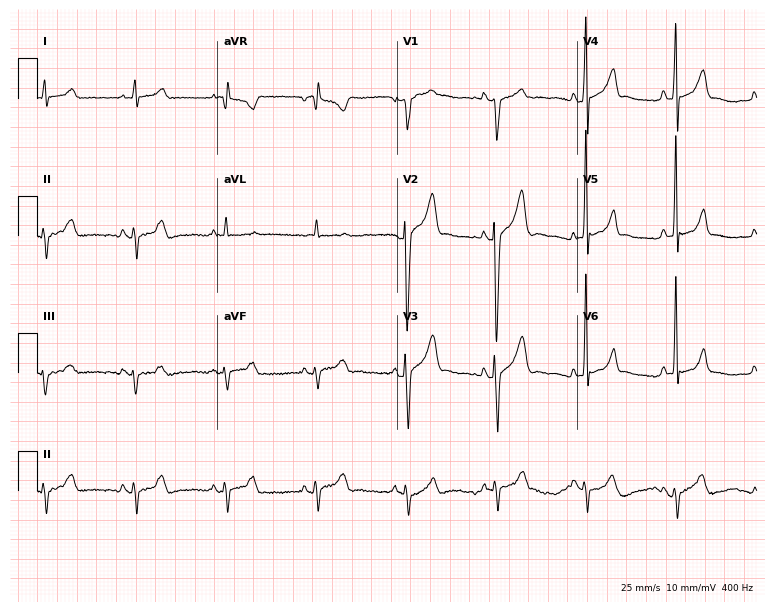
12-lead ECG from a 22-year-old male. Screened for six findings — first-degree AV block, right bundle branch block, left bundle branch block, sinus bradycardia, atrial fibrillation, sinus tachycardia — none is recorded. Only these six findings were labelled.